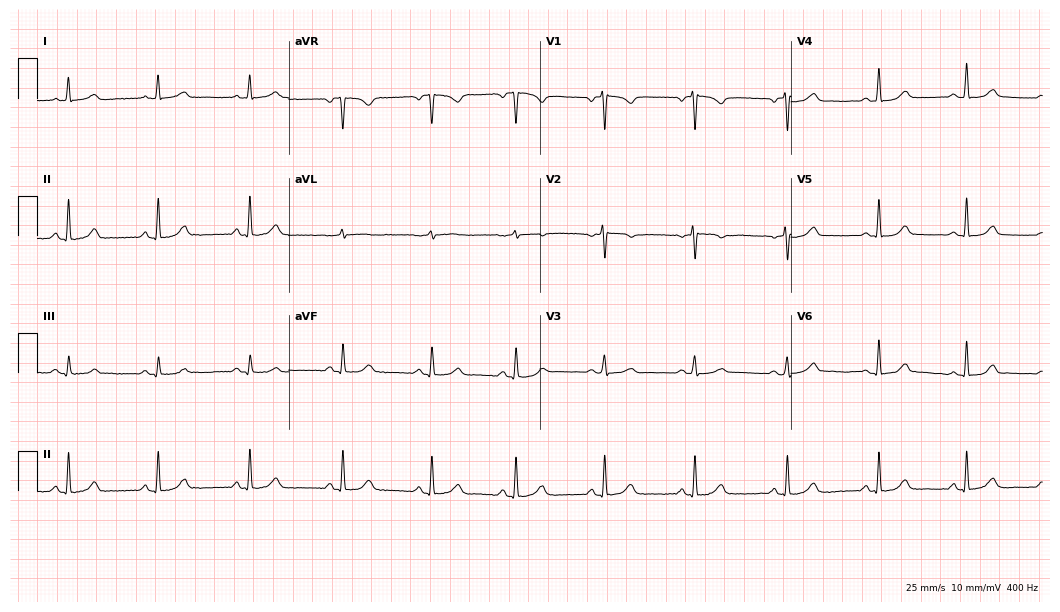
Resting 12-lead electrocardiogram (10.2-second recording at 400 Hz). Patient: a female, 41 years old. Read as a normal ECG.